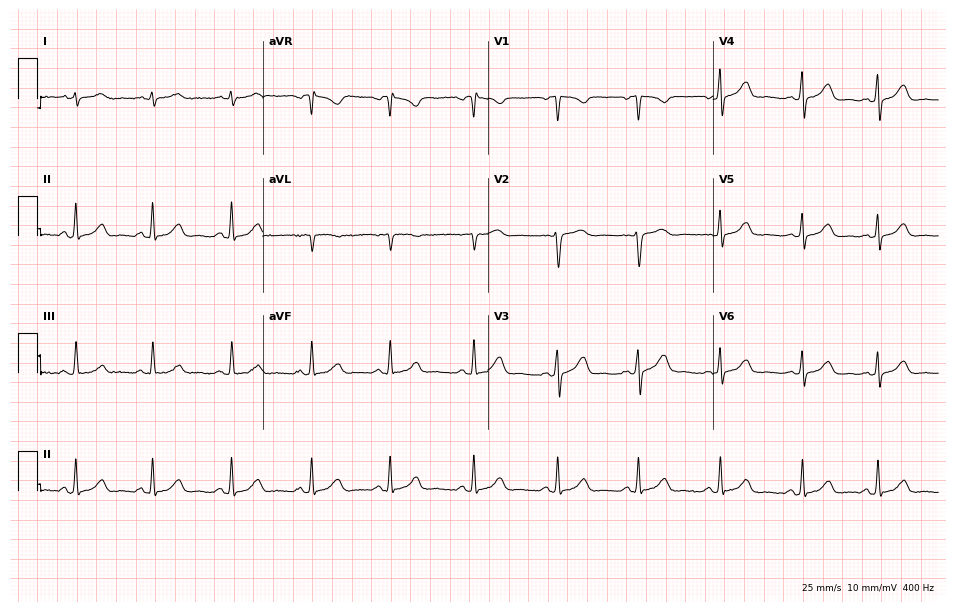
ECG — a 26-year-old female. Labelled as a normal ECG.